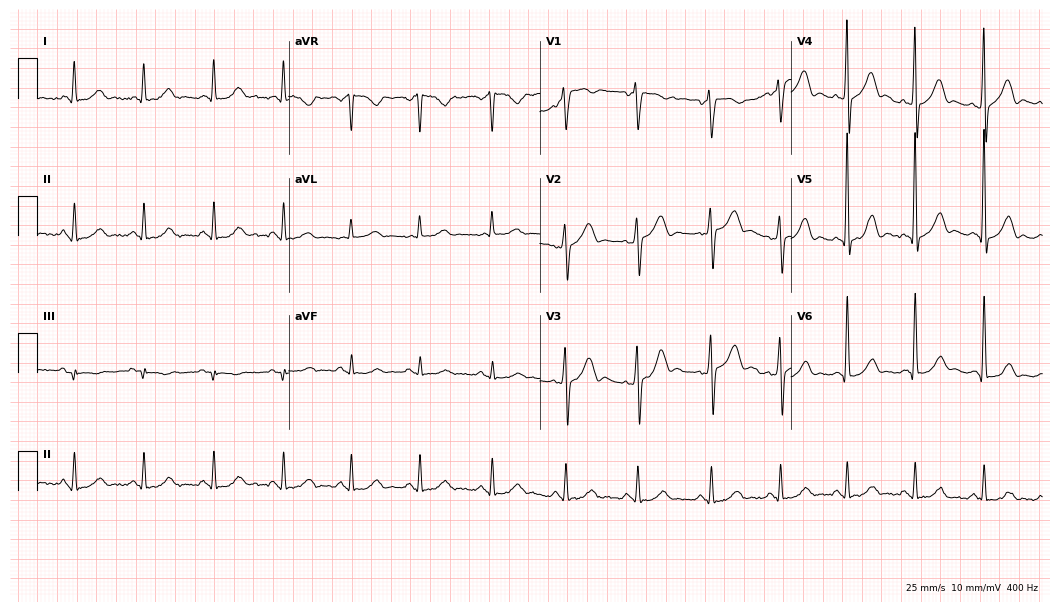
Electrocardiogram, a 62-year-old male patient. Overall reading on record: normal ECG.